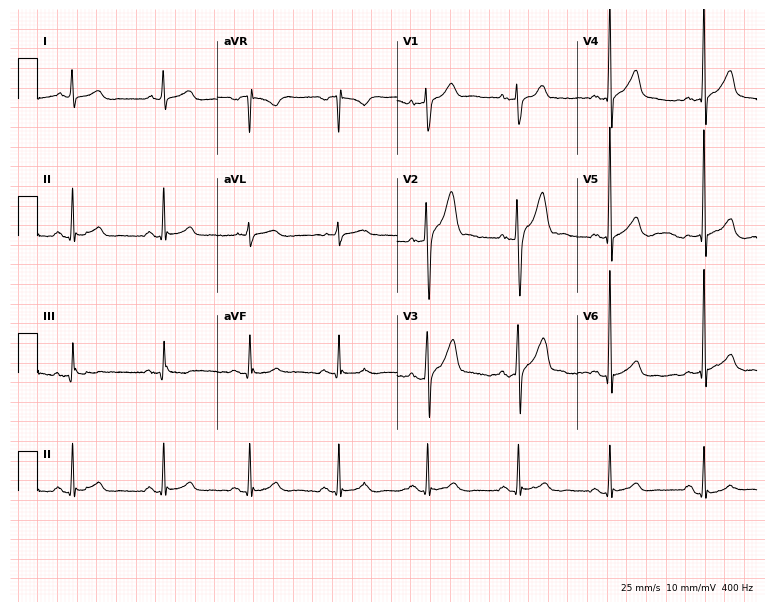
Resting 12-lead electrocardiogram. Patient: a 41-year-old male. None of these six findings is recorded: first-degree AV block, right bundle branch block, left bundle branch block, sinus bradycardia, atrial fibrillation, sinus tachycardia. Only these six findings were labelled.